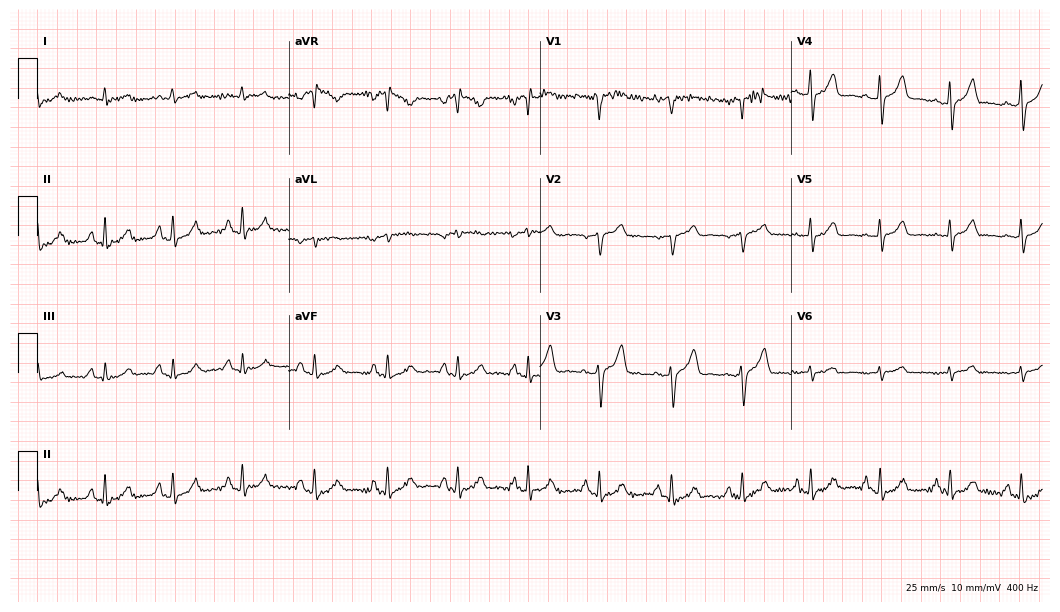
12-lead ECG from a man, 56 years old. No first-degree AV block, right bundle branch block (RBBB), left bundle branch block (LBBB), sinus bradycardia, atrial fibrillation (AF) or sinus tachycardia recorded for this tracing. Only these six findings were labelled.